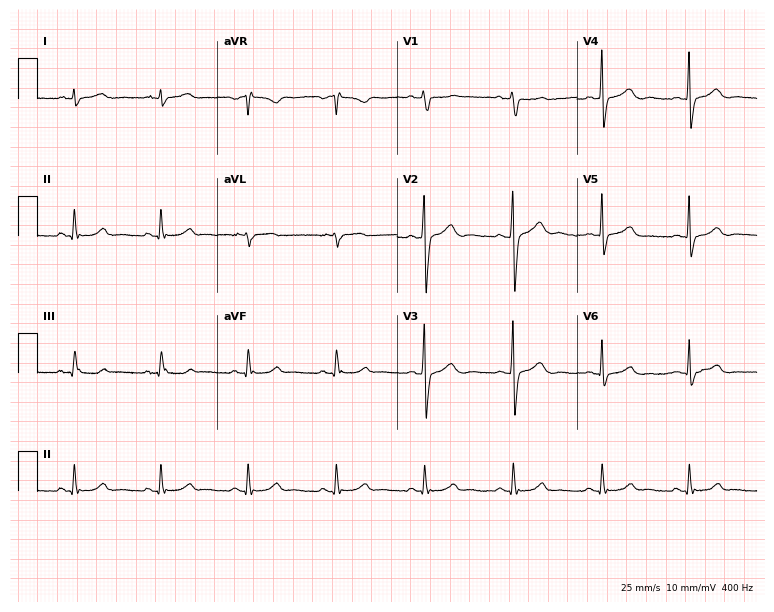
12-lead ECG from a male, 48 years old. Recorded interpretation: within normal limits.